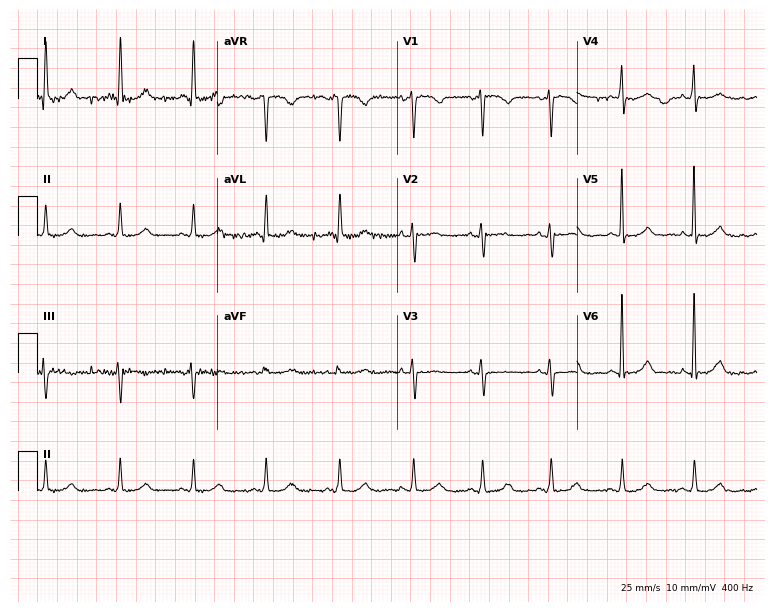
12-lead ECG from a 71-year-old female. No first-degree AV block, right bundle branch block, left bundle branch block, sinus bradycardia, atrial fibrillation or sinus tachycardia recorded for this tracing.